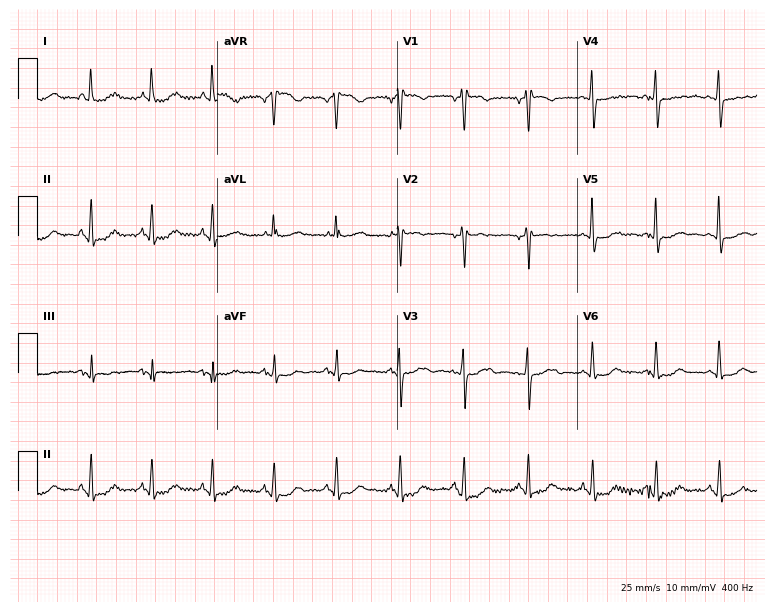
Standard 12-lead ECG recorded from a woman, 51 years old (7.3-second recording at 400 Hz). None of these six findings is recorded: first-degree AV block, right bundle branch block, left bundle branch block, sinus bradycardia, atrial fibrillation, sinus tachycardia.